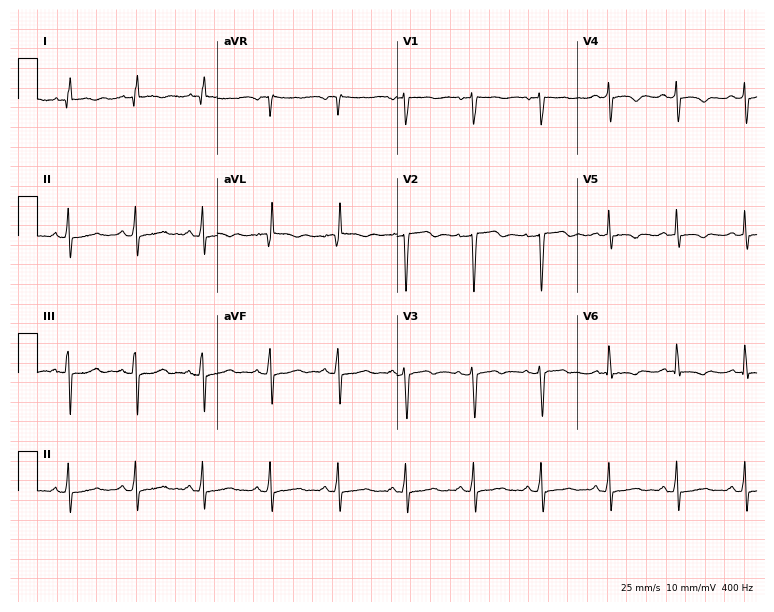
12-lead ECG (7.3-second recording at 400 Hz) from a female patient, 72 years old. Screened for six findings — first-degree AV block, right bundle branch block, left bundle branch block, sinus bradycardia, atrial fibrillation, sinus tachycardia — none is recorded. Other findings, if any, are not listed.